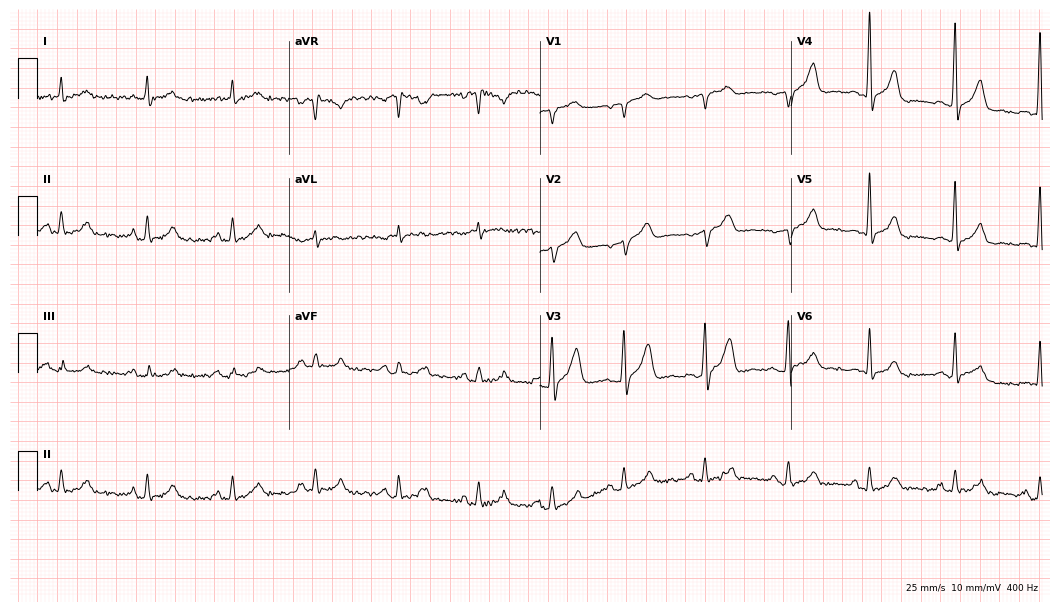
12-lead ECG from a man, 62 years old. Labelled as a normal ECG.